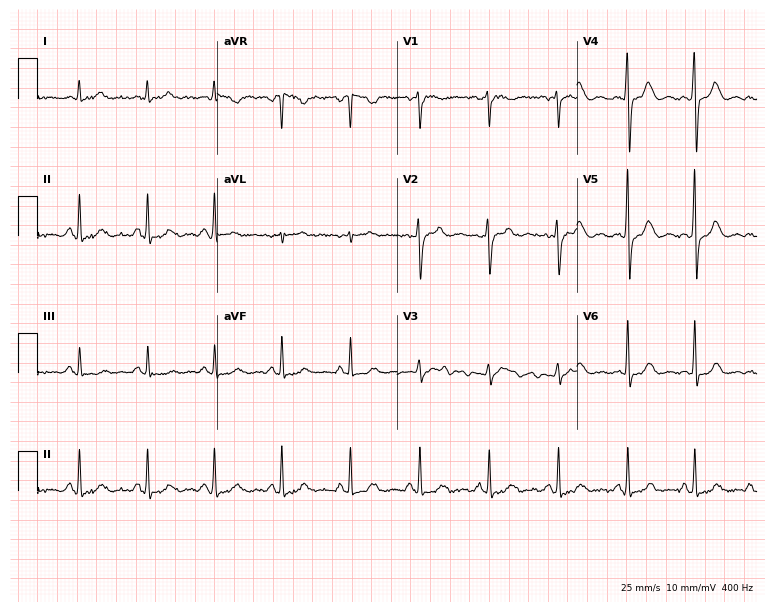
12-lead ECG from a 41-year-old female (7.3-second recording at 400 Hz). Recorded interpretation: within normal limits.